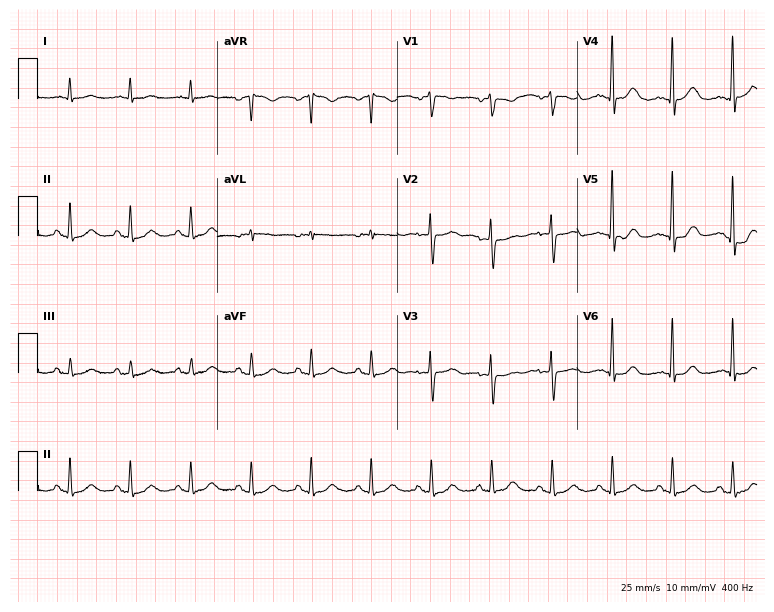
12-lead ECG (7.3-second recording at 400 Hz) from a female patient, 85 years old. Screened for six findings — first-degree AV block, right bundle branch block (RBBB), left bundle branch block (LBBB), sinus bradycardia, atrial fibrillation (AF), sinus tachycardia — none is recorded. Findings outside these six are not listed.